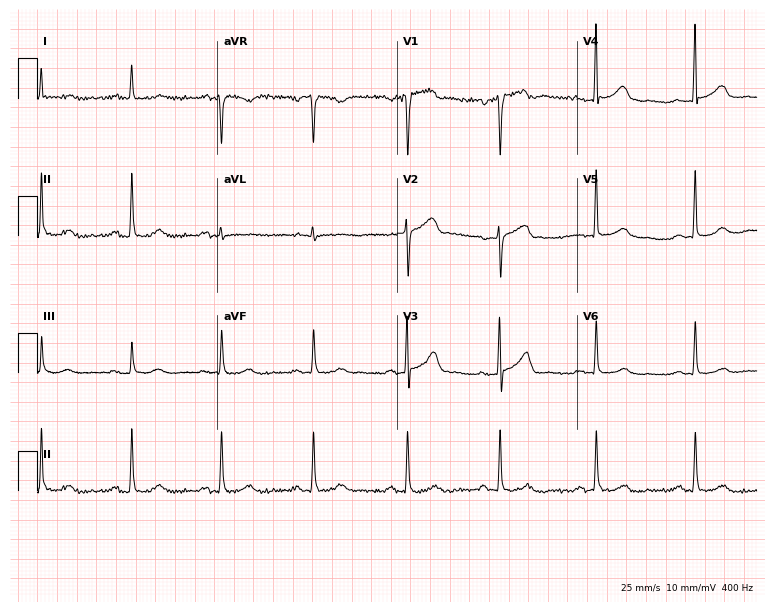
ECG — a man, 63 years old. Labelled as a normal ECG.